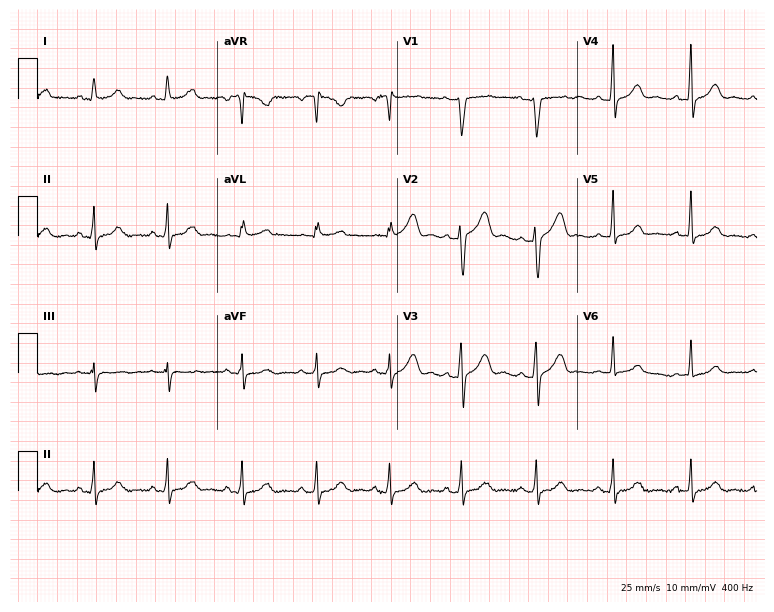
12-lead ECG from a 35-year-old woman (7.3-second recording at 400 Hz). No first-degree AV block, right bundle branch block, left bundle branch block, sinus bradycardia, atrial fibrillation or sinus tachycardia recorded for this tracing. Findings outside these six are not listed.